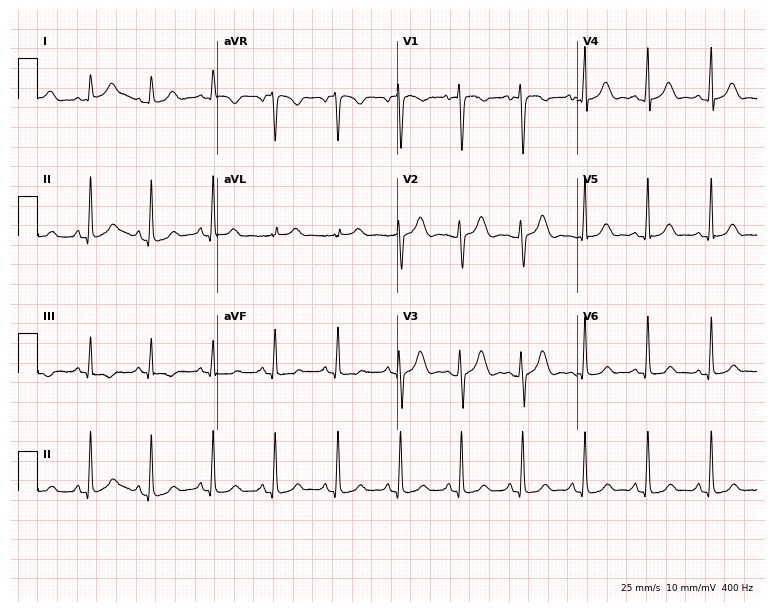
12-lead ECG from a woman, 34 years old. Screened for six findings — first-degree AV block, right bundle branch block (RBBB), left bundle branch block (LBBB), sinus bradycardia, atrial fibrillation (AF), sinus tachycardia — none is recorded.